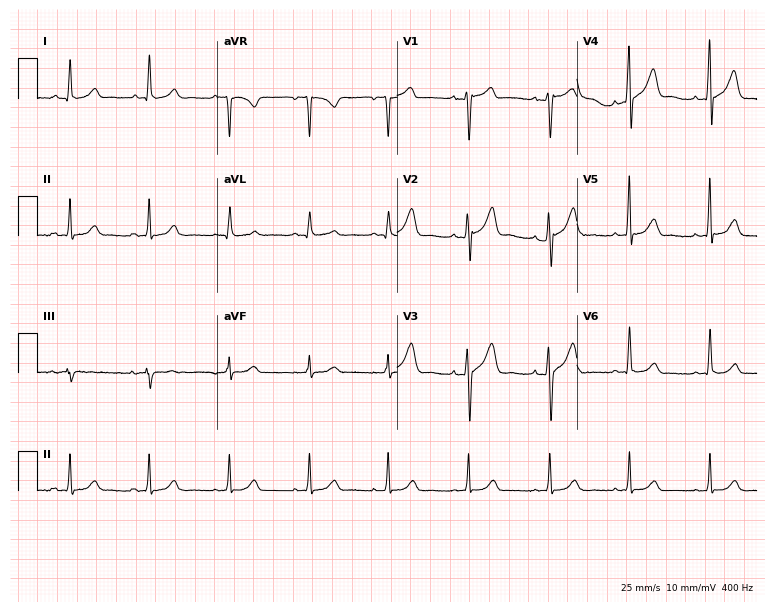
12-lead ECG from a 66-year-old male. Labelled as a normal ECG.